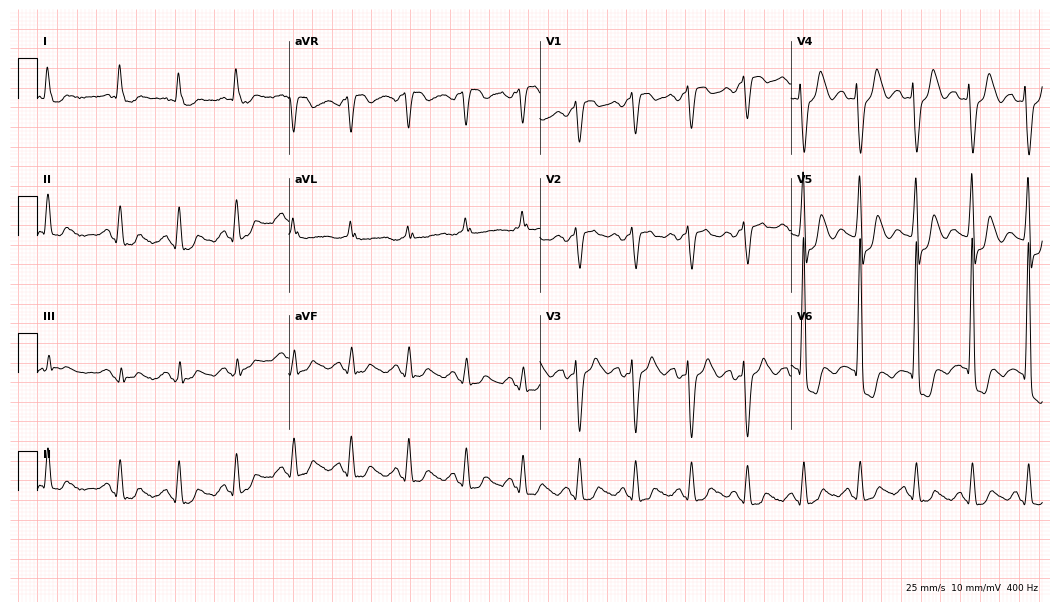
Electrocardiogram (10.2-second recording at 400 Hz), a male patient, 73 years old. Interpretation includes sinus tachycardia (a sinus rate of 100 beats per minute or more).